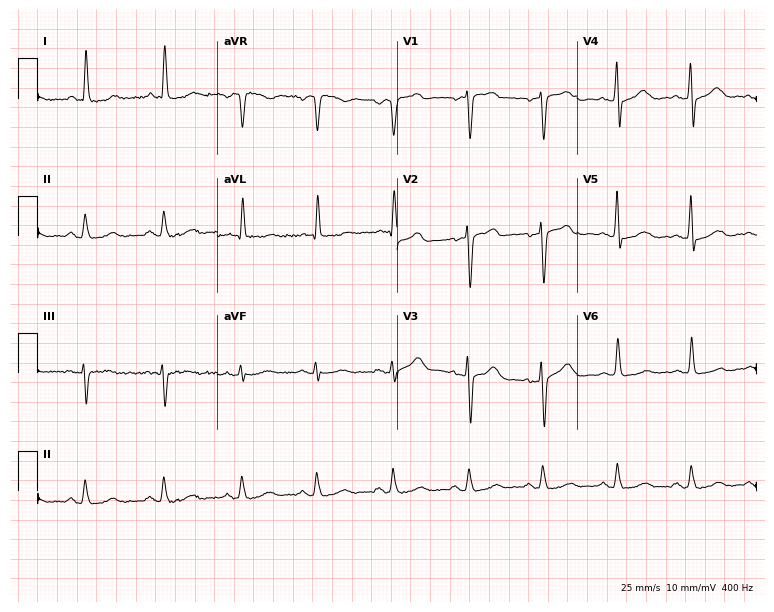
12-lead ECG from a female patient, 71 years old (7.3-second recording at 400 Hz). No first-degree AV block, right bundle branch block, left bundle branch block, sinus bradycardia, atrial fibrillation or sinus tachycardia recorded for this tracing. Only these six findings were labelled.